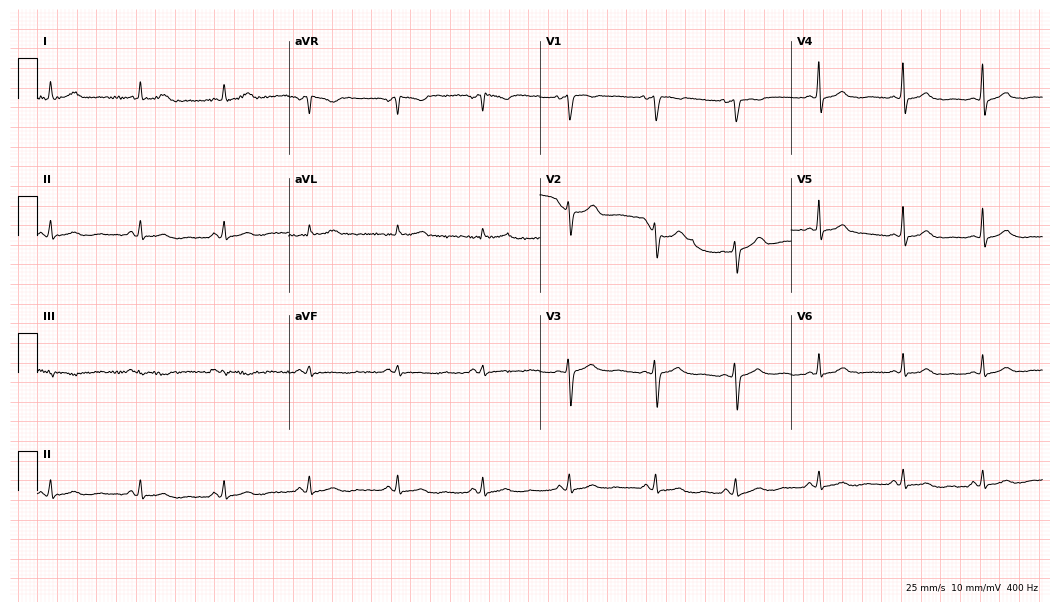
Standard 12-lead ECG recorded from a 44-year-old female patient (10.2-second recording at 400 Hz). Read as a normal ECG.